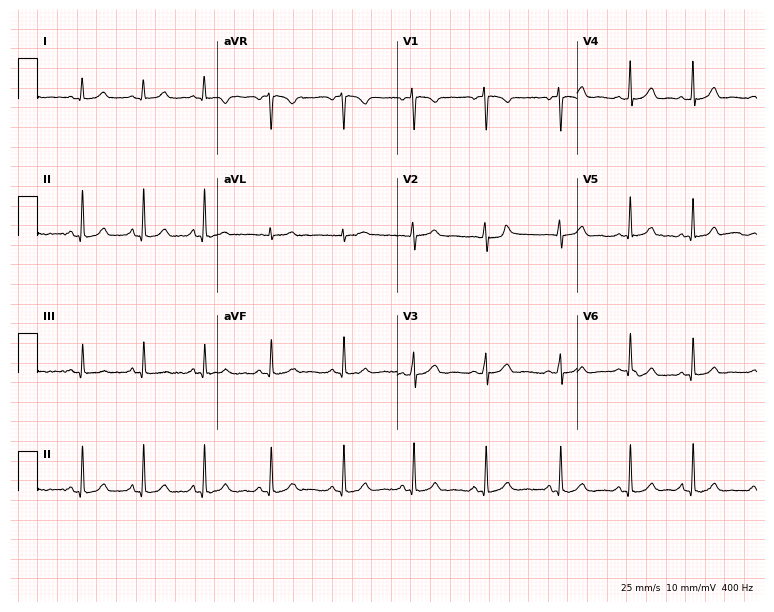
Standard 12-lead ECG recorded from a 19-year-old female (7.3-second recording at 400 Hz). Read as a normal ECG.